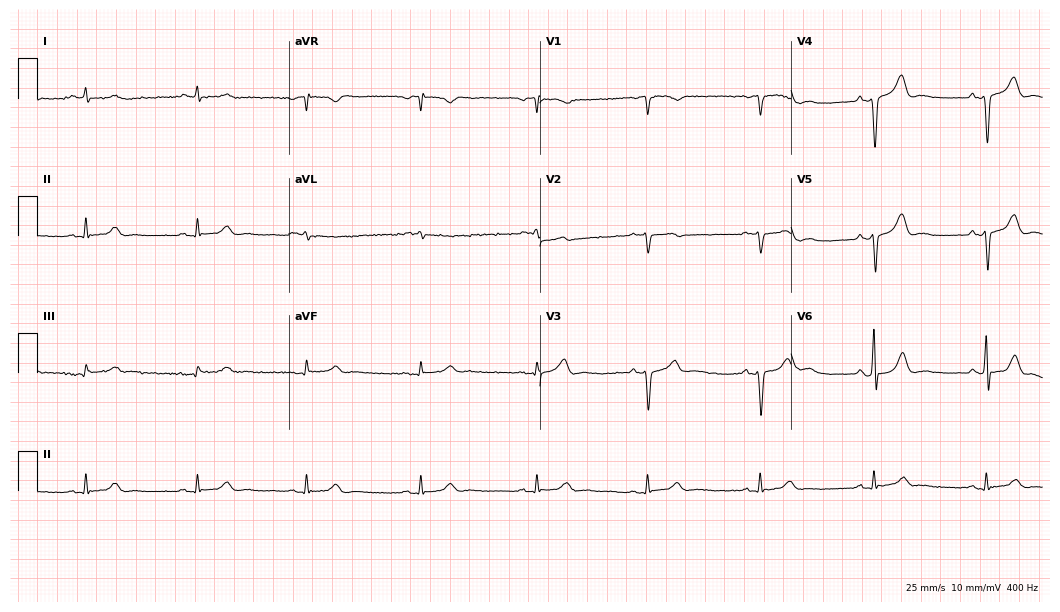
ECG (10.2-second recording at 400 Hz) — a 60-year-old male patient. Screened for six findings — first-degree AV block, right bundle branch block, left bundle branch block, sinus bradycardia, atrial fibrillation, sinus tachycardia — none is recorded.